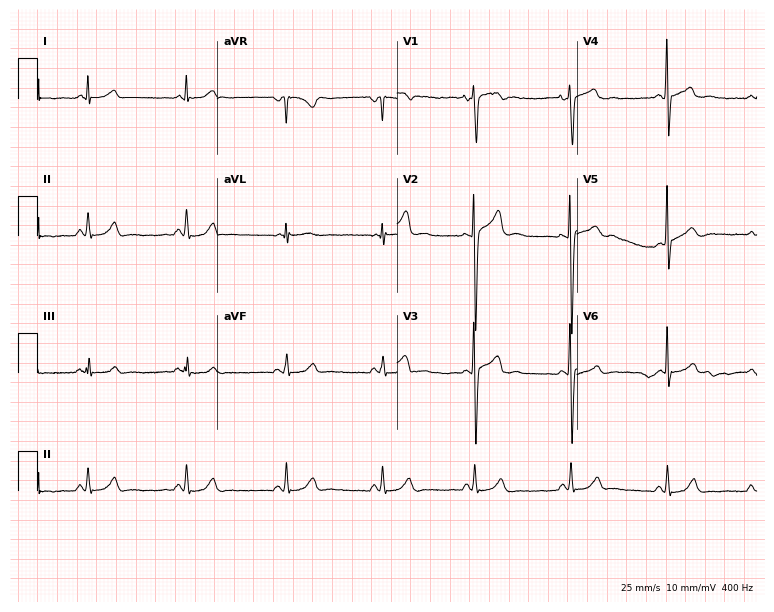
ECG — a male, 20 years old. Labelled as a normal ECG.